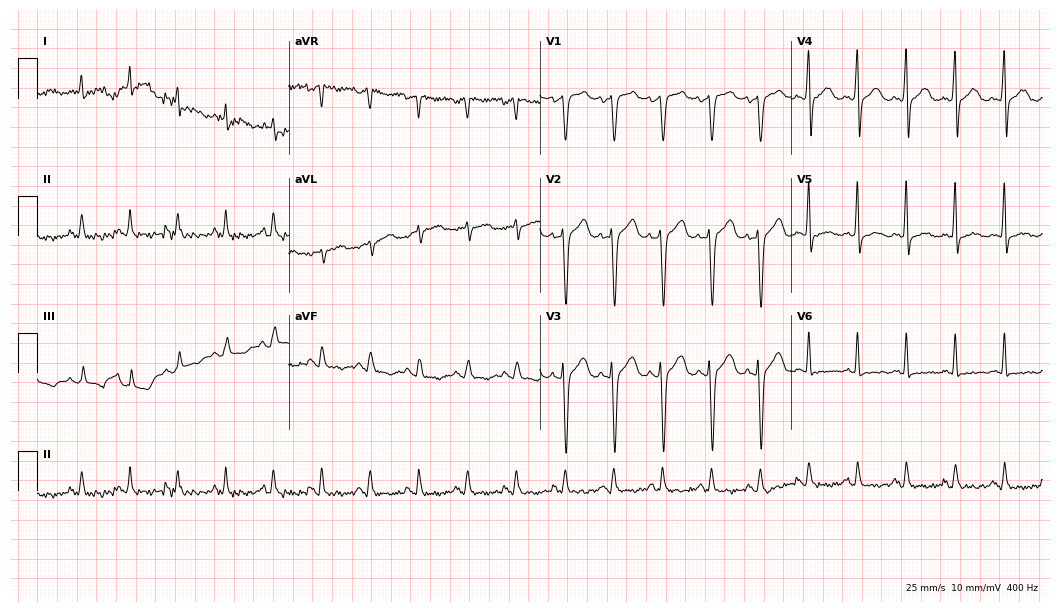
12-lead ECG from a 38-year-old man (10.2-second recording at 400 Hz). Shows sinus tachycardia (a sinus rate of 100 beats per minute or more).